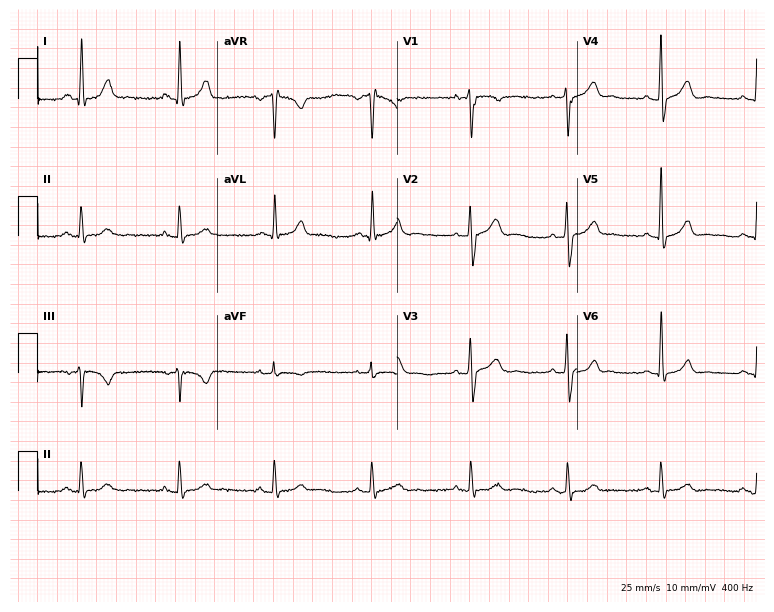
12-lead ECG from a 17-year-old male patient. No first-degree AV block, right bundle branch block, left bundle branch block, sinus bradycardia, atrial fibrillation or sinus tachycardia recorded for this tracing.